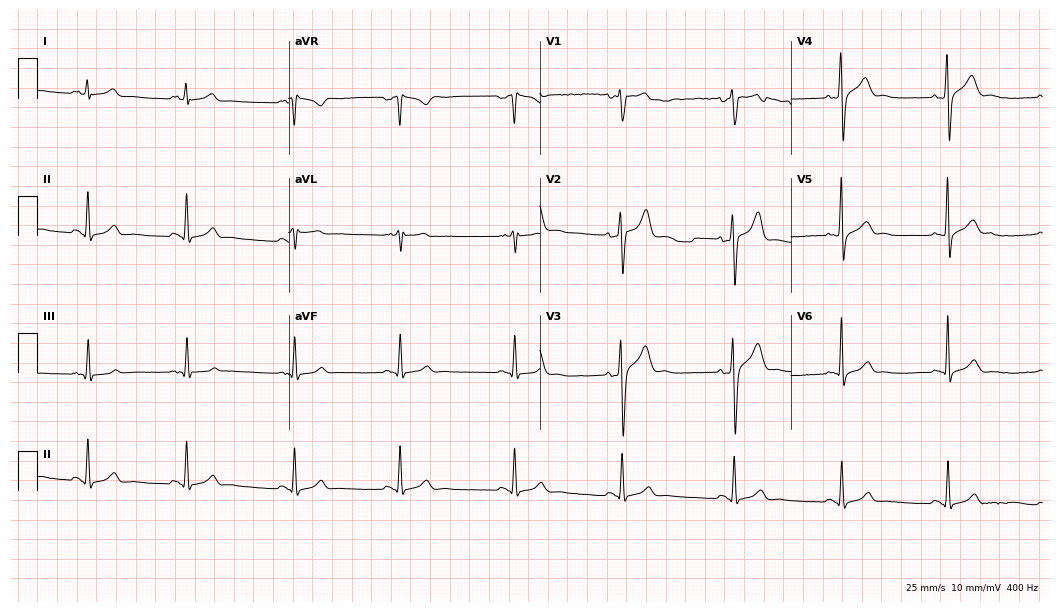
12-lead ECG (10.2-second recording at 400 Hz) from a male, 36 years old. Labelled as a normal ECG.